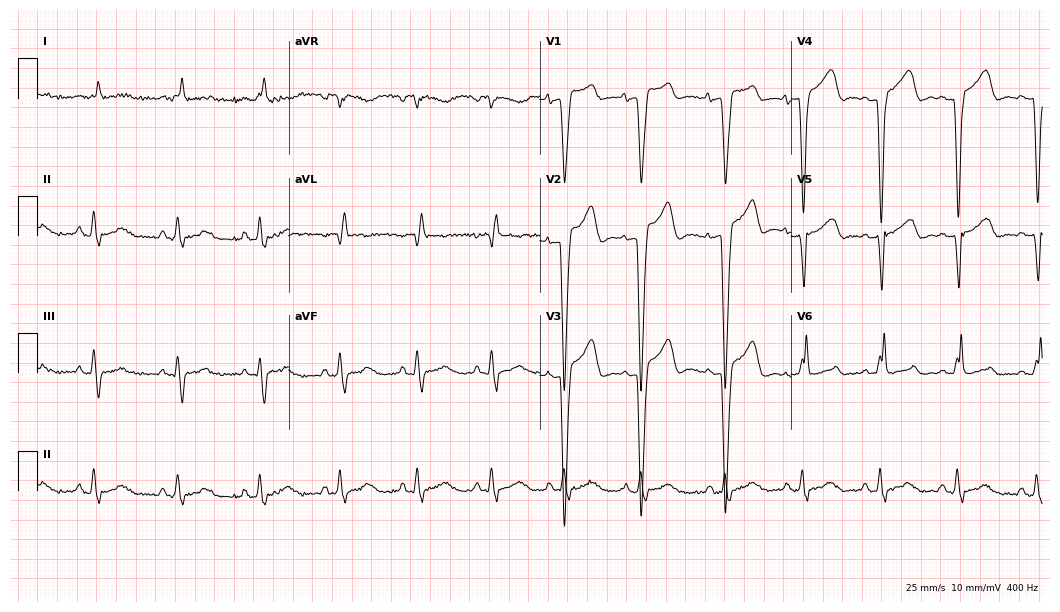
Electrocardiogram (10.2-second recording at 400 Hz), a 67-year-old female. Interpretation includes left bundle branch block (LBBB).